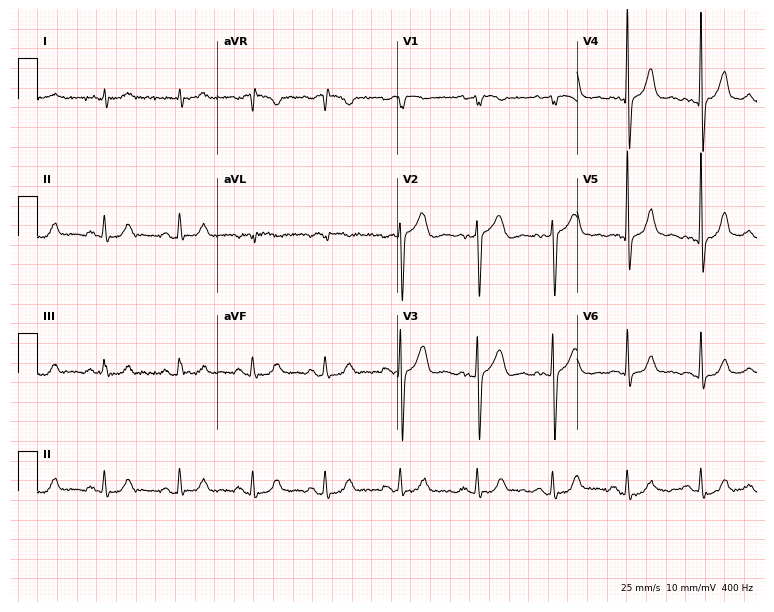
ECG — an 82-year-old male. Screened for six findings — first-degree AV block, right bundle branch block, left bundle branch block, sinus bradycardia, atrial fibrillation, sinus tachycardia — none is recorded. Findings outside these six are not listed.